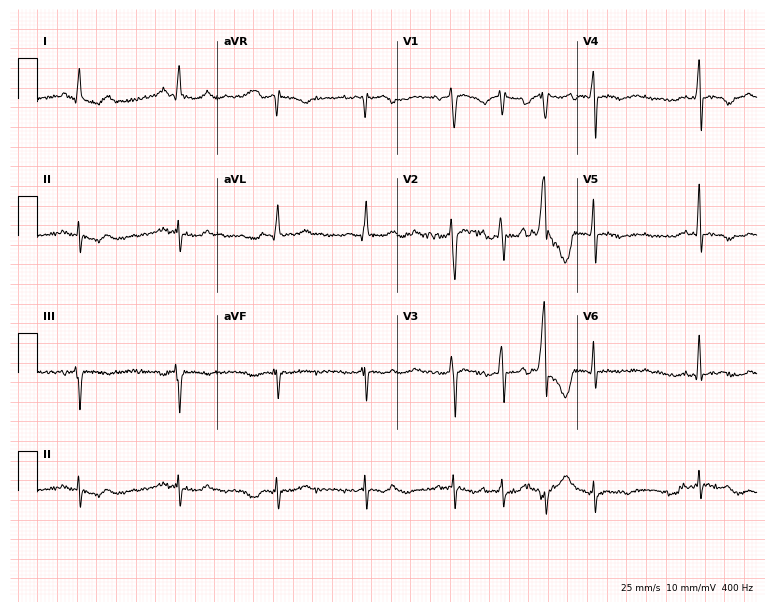
Standard 12-lead ECG recorded from a male patient, 60 years old (7.3-second recording at 400 Hz). None of these six findings is recorded: first-degree AV block, right bundle branch block, left bundle branch block, sinus bradycardia, atrial fibrillation, sinus tachycardia.